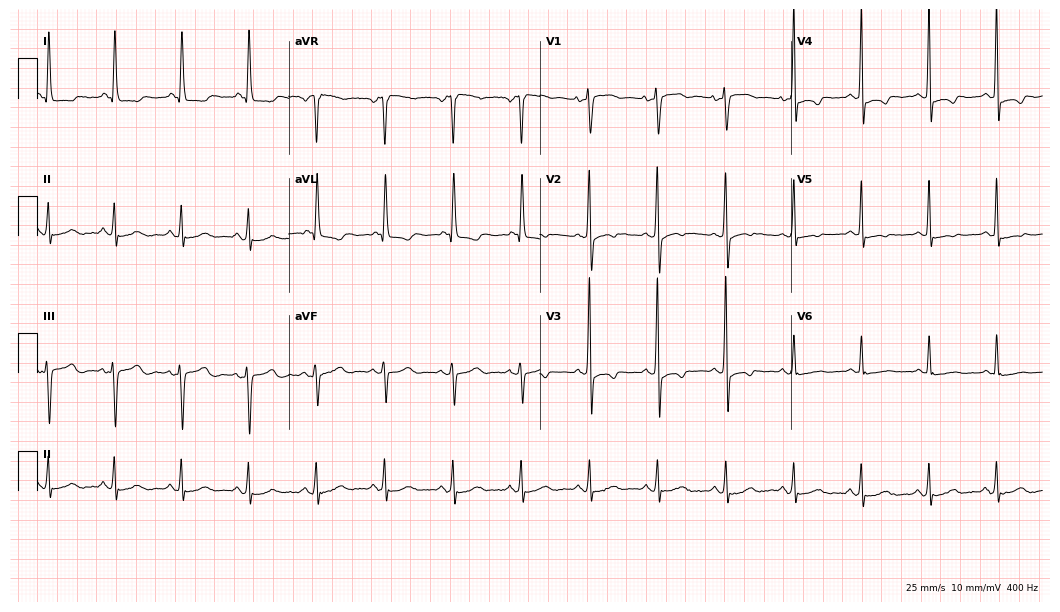
12-lead ECG from a female patient, 81 years old. No first-degree AV block, right bundle branch block (RBBB), left bundle branch block (LBBB), sinus bradycardia, atrial fibrillation (AF) or sinus tachycardia recorded for this tracing. Other findings, if any, are not listed.